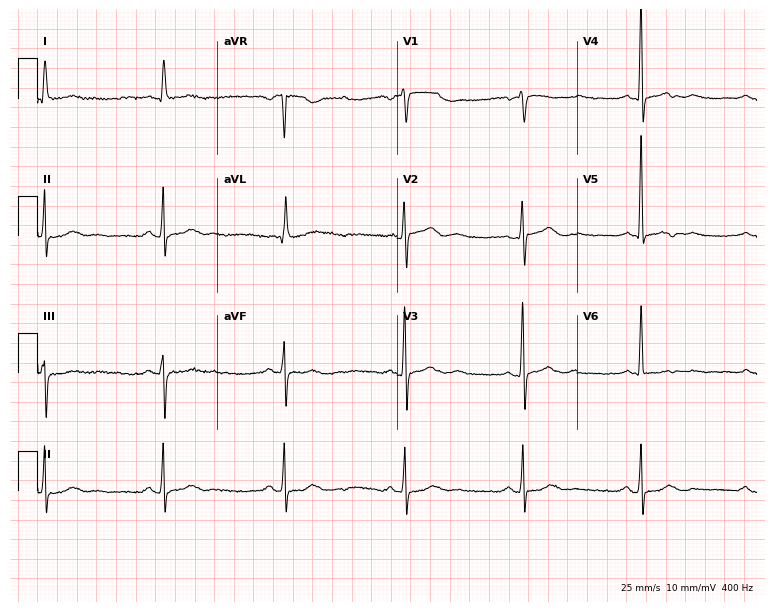
Standard 12-lead ECG recorded from a 65-year-old woman (7.3-second recording at 400 Hz). None of these six findings is recorded: first-degree AV block, right bundle branch block (RBBB), left bundle branch block (LBBB), sinus bradycardia, atrial fibrillation (AF), sinus tachycardia. Other findings, if any, are not listed.